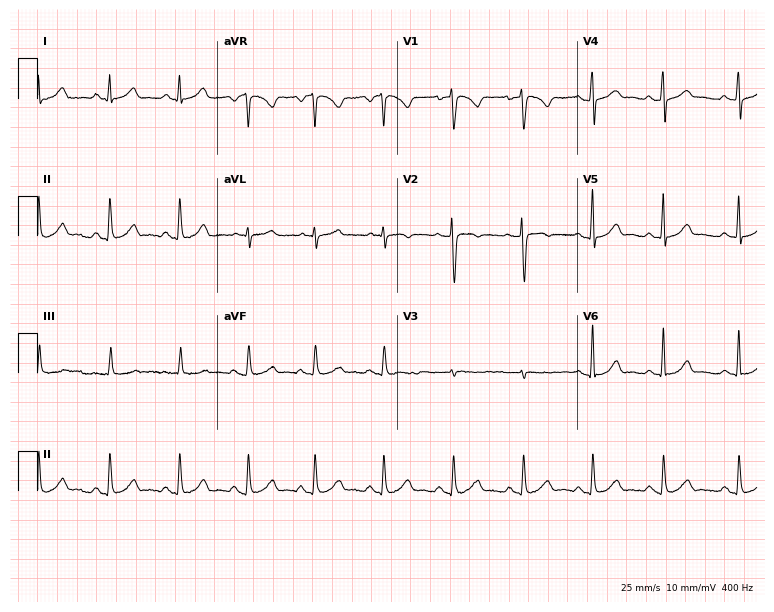
12-lead ECG (7.3-second recording at 400 Hz) from a 35-year-old female patient. Labelled as a normal ECG.